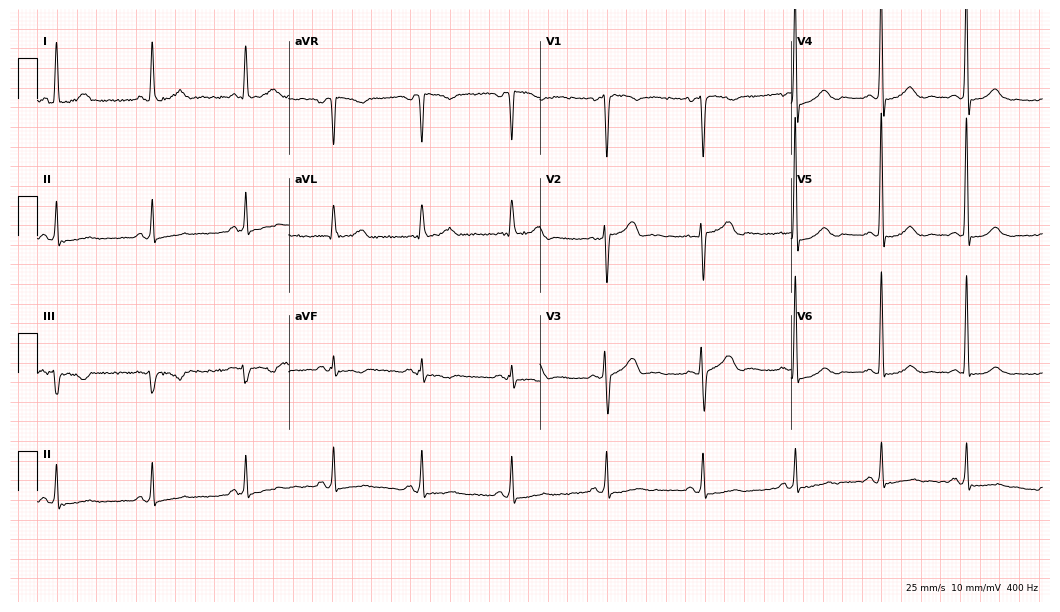
Electrocardiogram (10.2-second recording at 400 Hz), a 48-year-old woman. Of the six screened findings (first-degree AV block, right bundle branch block, left bundle branch block, sinus bradycardia, atrial fibrillation, sinus tachycardia), none is recorded.